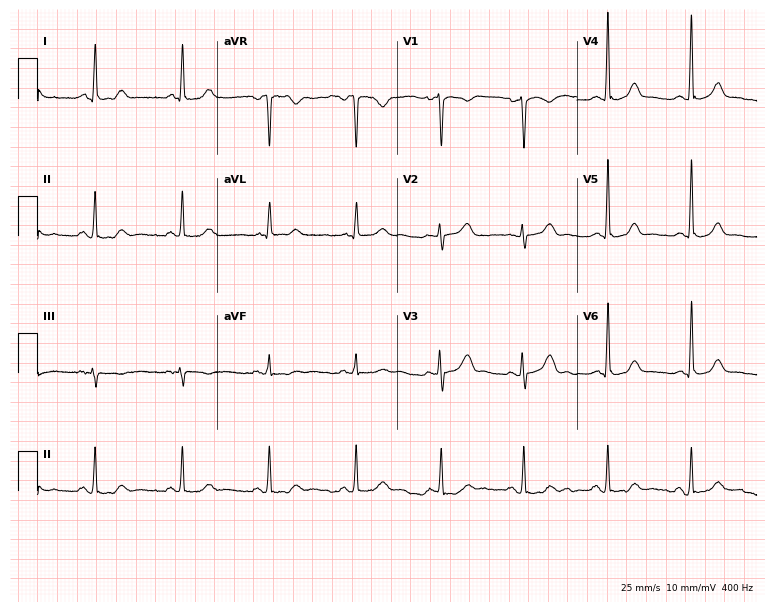
Standard 12-lead ECG recorded from a 39-year-old female. None of these six findings is recorded: first-degree AV block, right bundle branch block (RBBB), left bundle branch block (LBBB), sinus bradycardia, atrial fibrillation (AF), sinus tachycardia. Other findings, if any, are not listed.